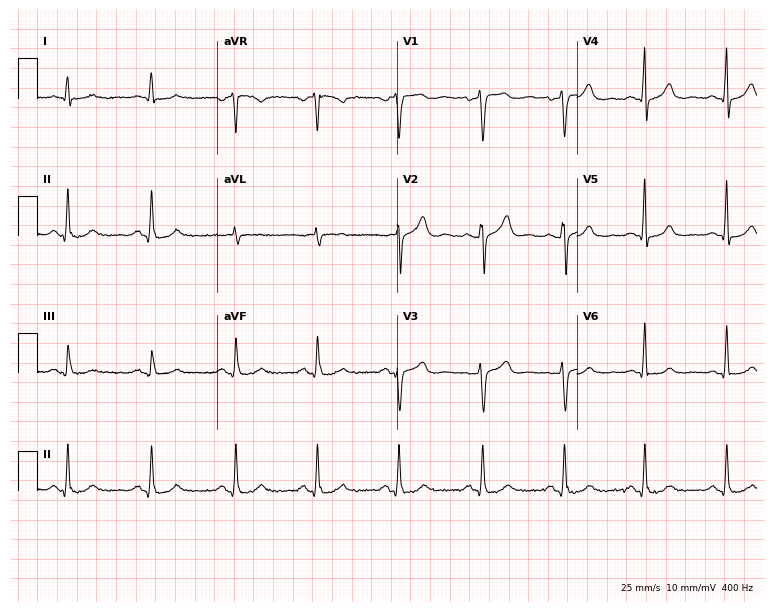
Standard 12-lead ECG recorded from a 54-year-old male patient. Read as a normal ECG.